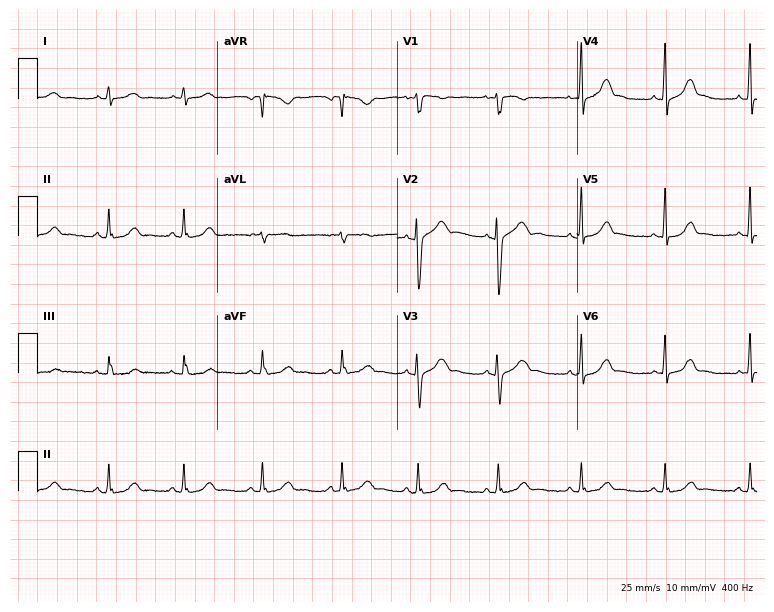
12-lead ECG from a female, 22 years old. No first-degree AV block, right bundle branch block, left bundle branch block, sinus bradycardia, atrial fibrillation or sinus tachycardia recorded for this tracing.